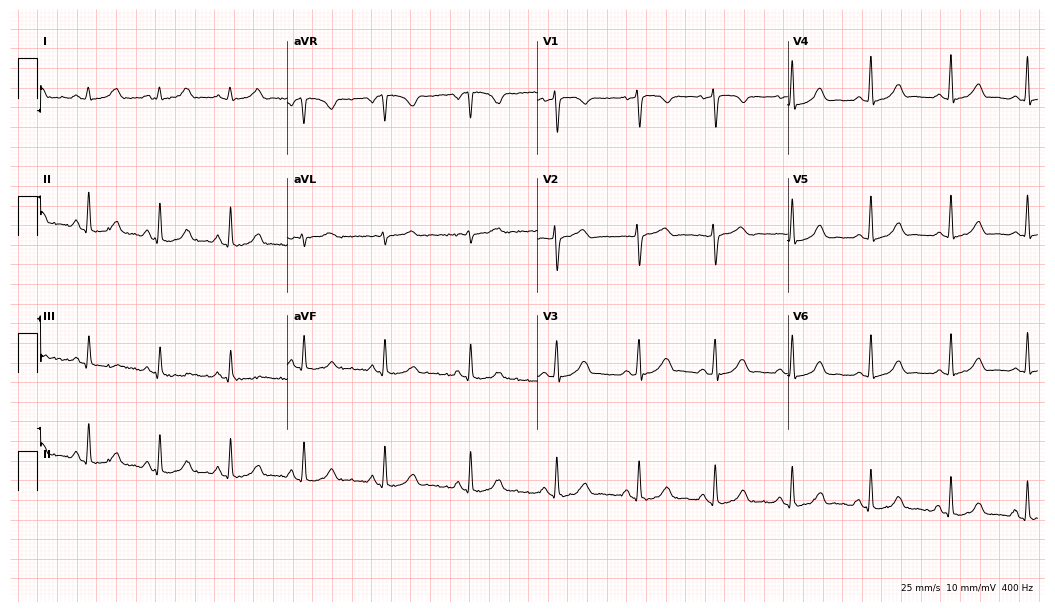
Electrocardiogram, a female patient, 27 years old. Overall reading on record: normal ECG.